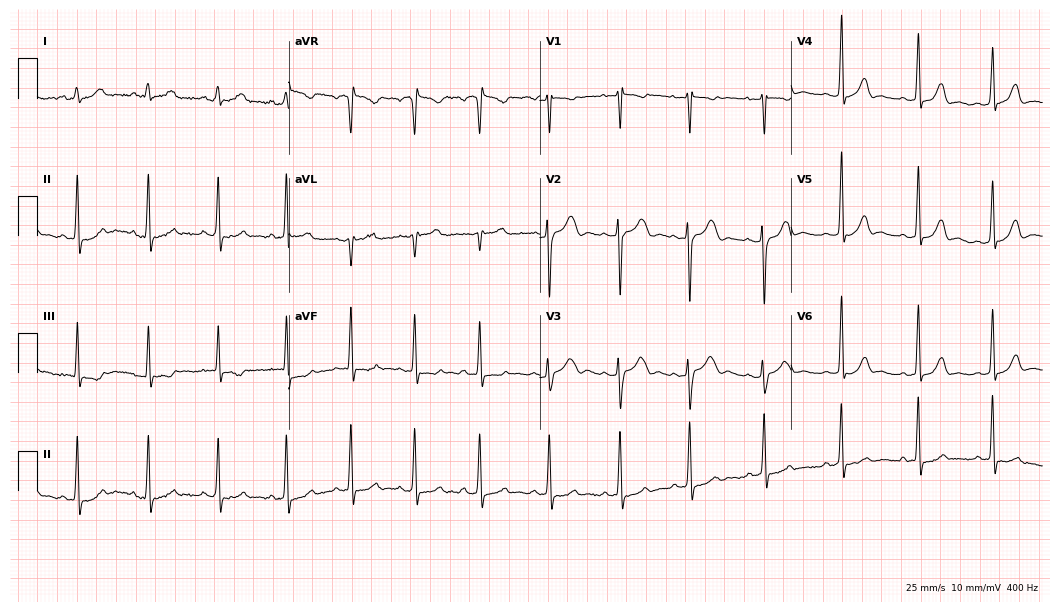
12-lead ECG from an 18-year-old female patient. Labelled as a normal ECG.